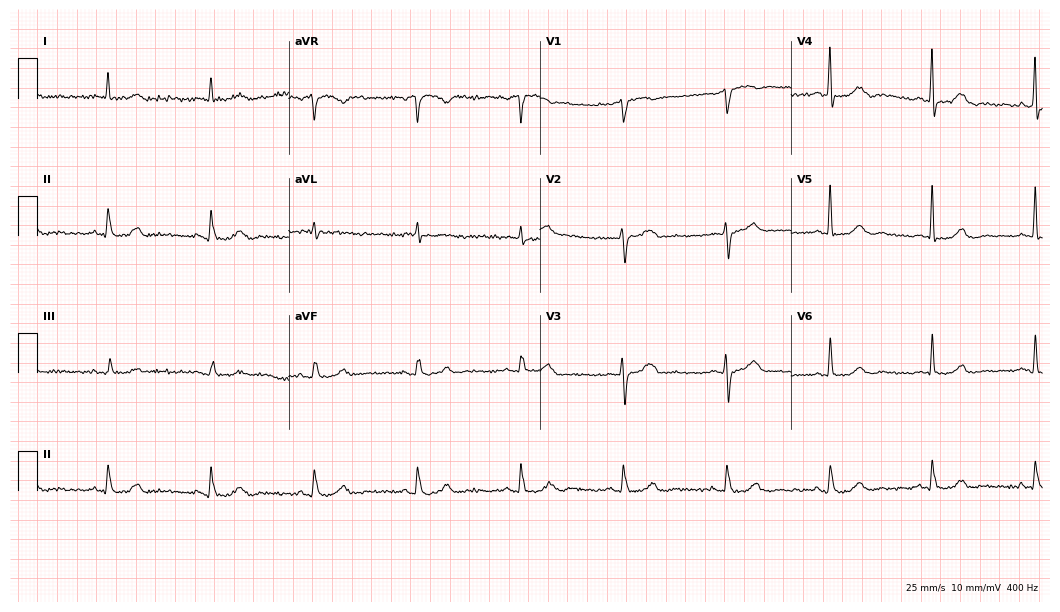
12-lead ECG from an 83-year-old man. Labelled as a normal ECG.